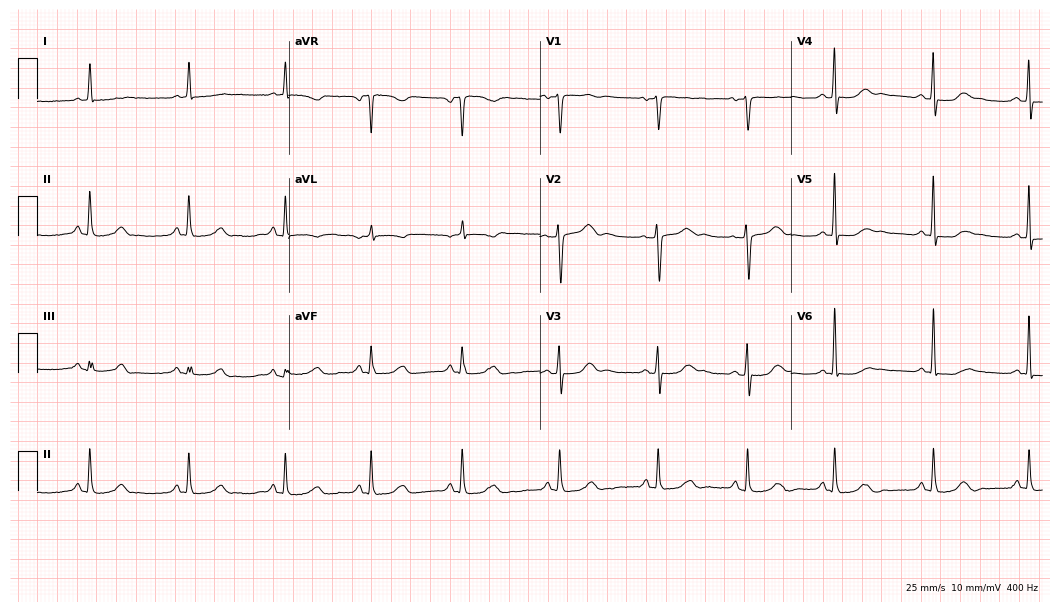
Resting 12-lead electrocardiogram. Patient: a woman, 50 years old. None of these six findings is recorded: first-degree AV block, right bundle branch block, left bundle branch block, sinus bradycardia, atrial fibrillation, sinus tachycardia. Other findings, if any, are not listed.